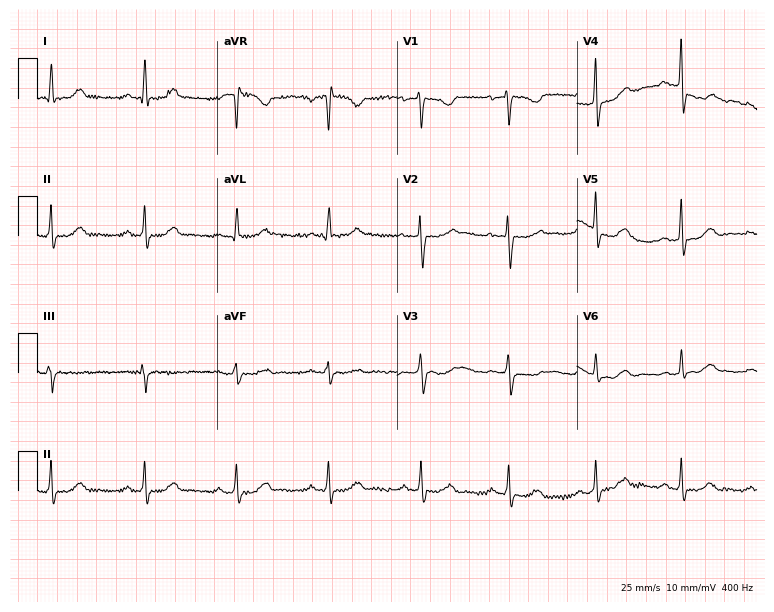
12-lead ECG from a 40-year-old female. Labelled as a normal ECG.